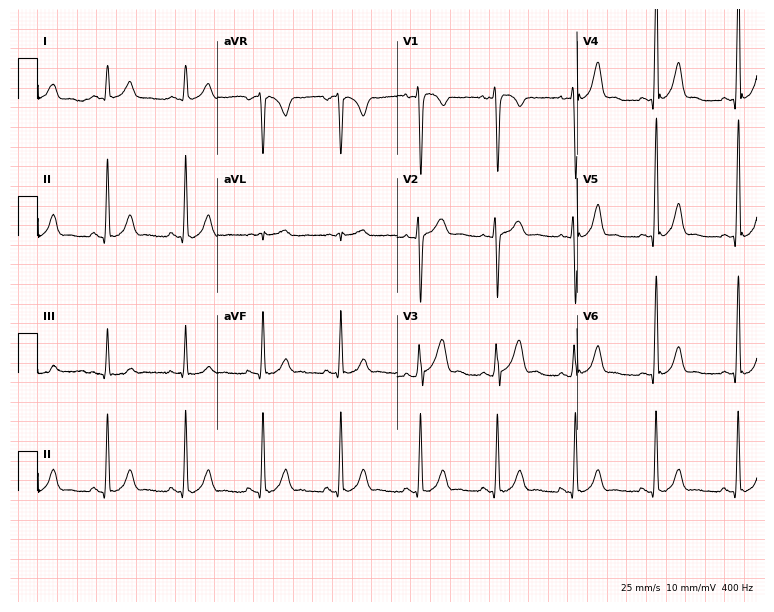
Resting 12-lead electrocardiogram. Patient: a 24-year-old man. Read as a normal ECG.